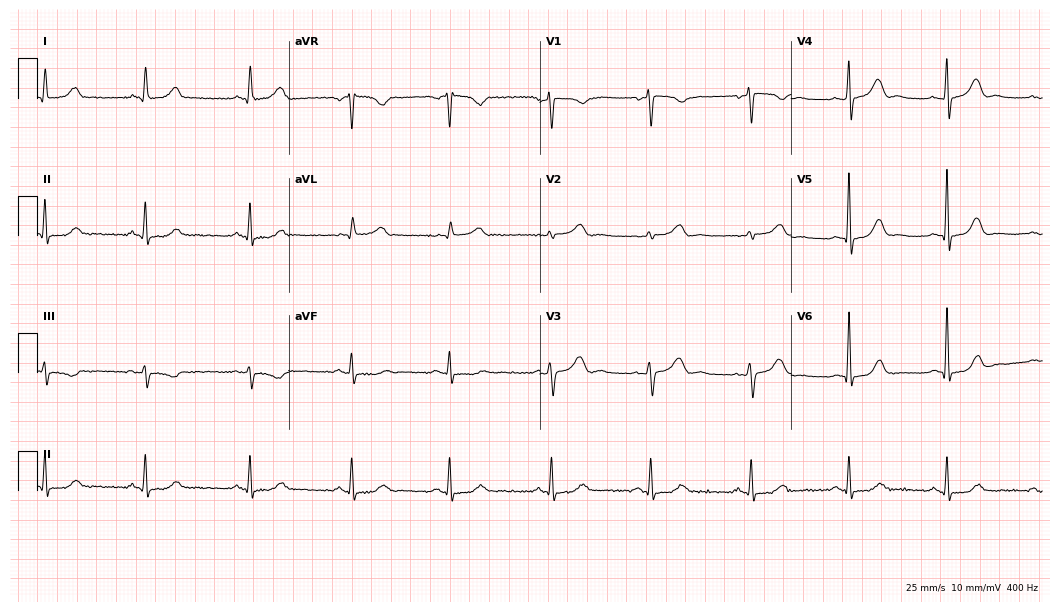
ECG — a 51-year-old female. Labelled as a normal ECG.